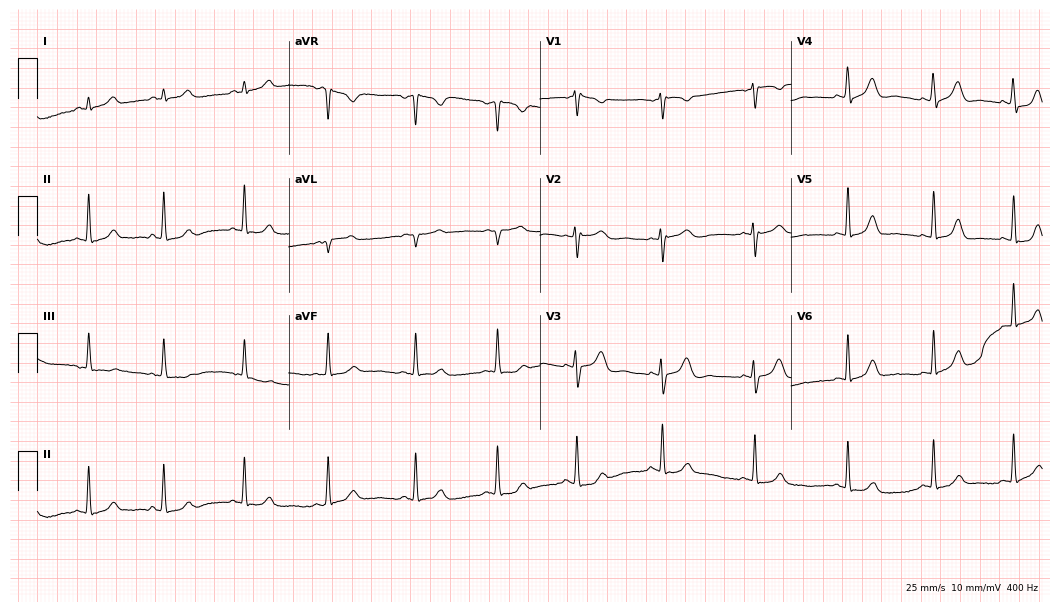
ECG (10.2-second recording at 400 Hz) — a 26-year-old woman. Screened for six findings — first-degree AV block, right bundle branch block, left bundle branch block, sinus bradycardia, atrial fibrillation, sinus tachycardia — none is recorded.